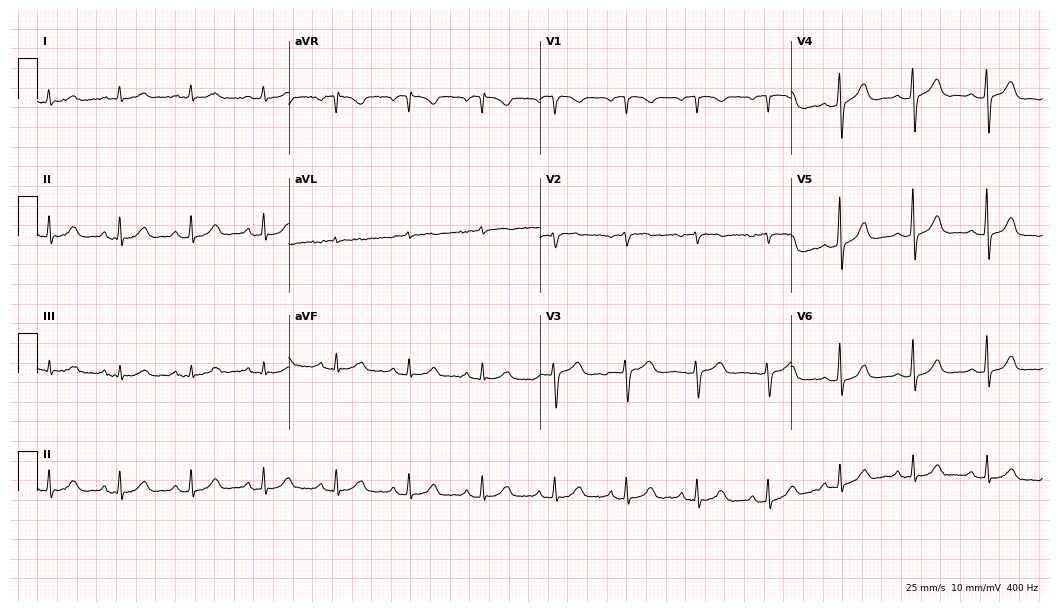
ECG — a female, 73 years old. Labelled as a normal ECG.